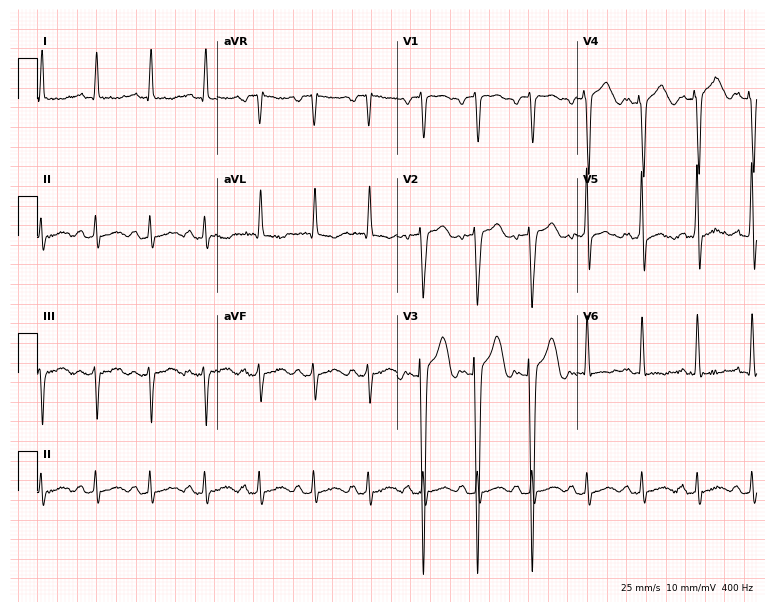
Electrocardiogram (7.3-second recording at 400 Hz), a 54-year-old man. Interpretation includes sinus tachycardia (a sinus rate of 100 beats per minute or more).